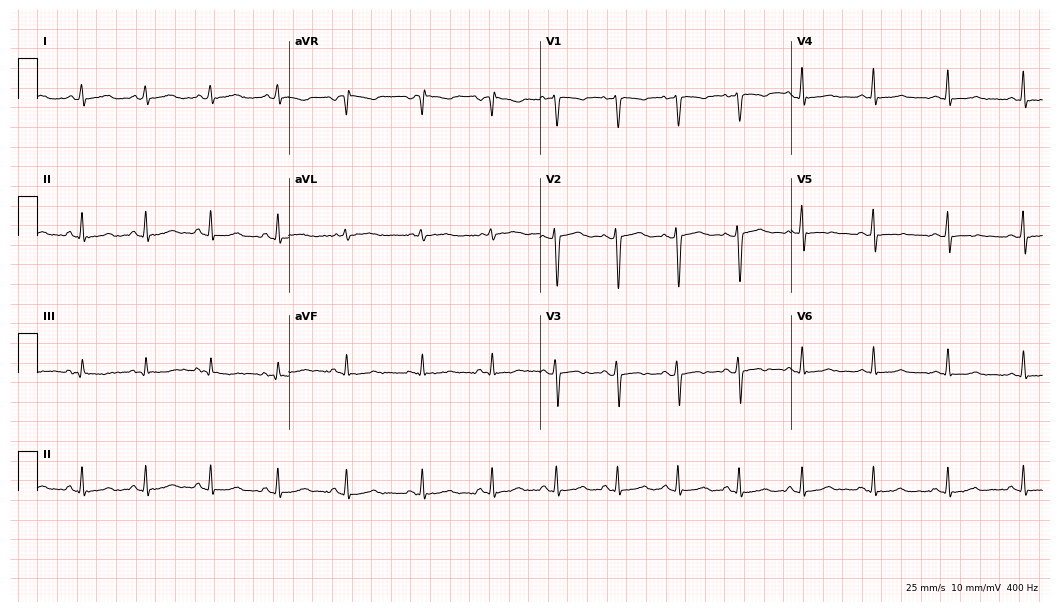
12-lead ECG from a 44-year-old female. Screened for six findings — first-degree AV block, right bundle branch block, left bundle branch block, sinus bradycardia, atrial fibrillation, sinus tachycardia — none is recorded.